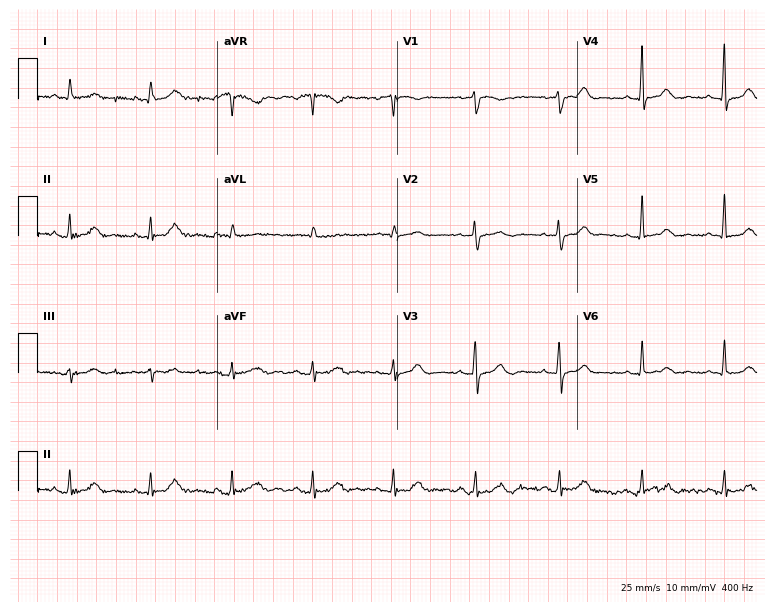
12-lead ECG from a 78-year-old female patient. Screened for six findings — first-degree AV block, right bundle branch block (RBBB), left bundle branch block (LBBB), sinus bradycardia, atrial fibrillation (AF), sinus tachycardia — none is recorded. Findings outside these six are not listed.